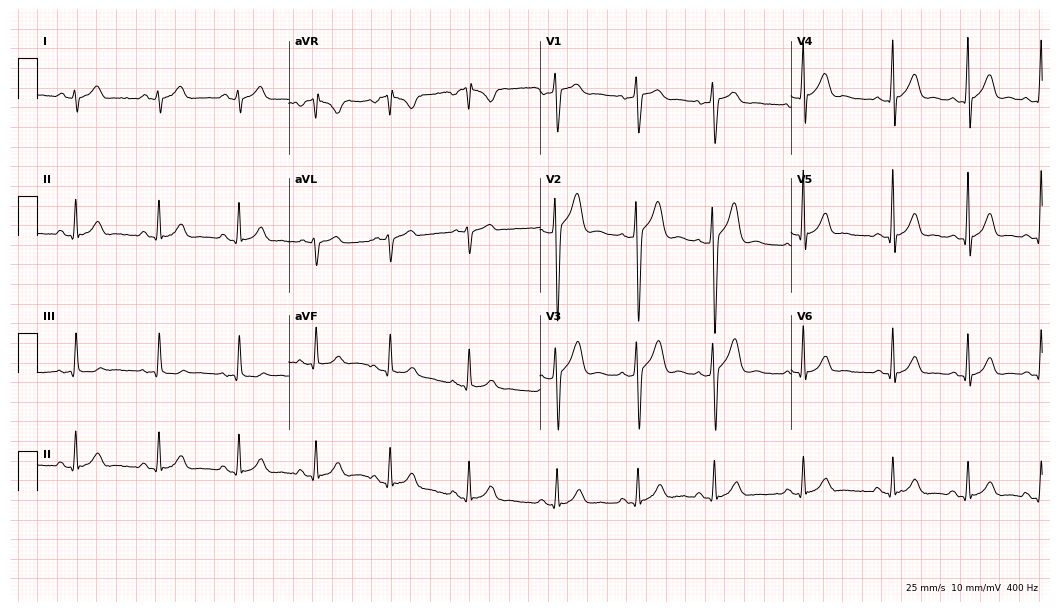
Standard 12-lead ECG recorded from a male, 19 years old (10.2-second recording at 400 Hz). Read as a normal ECG.